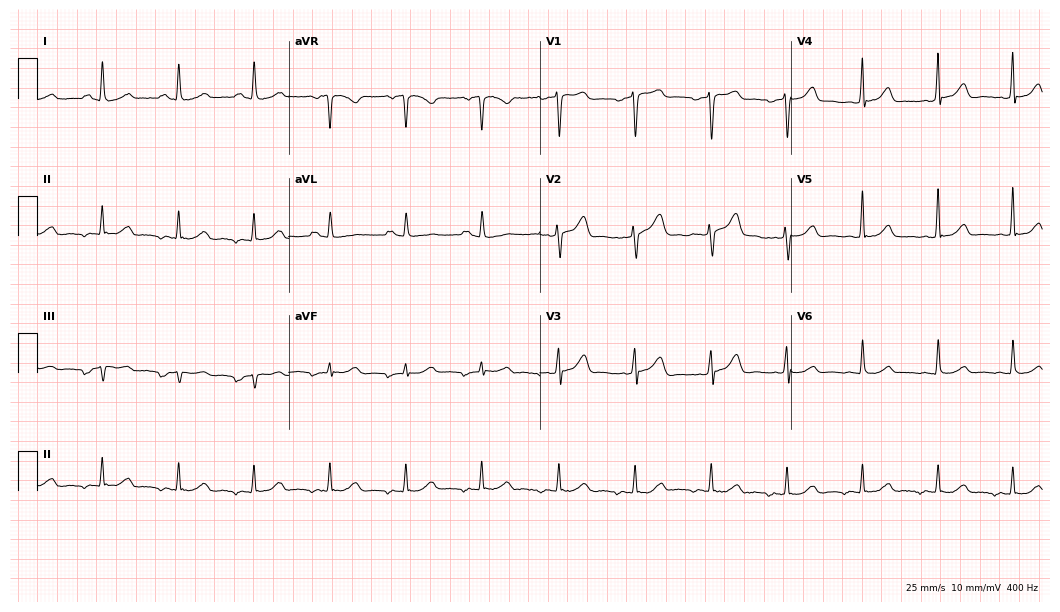
Standard 12-lead ECG recorded from a 42-year-old female patient. Read as a normal ECG.